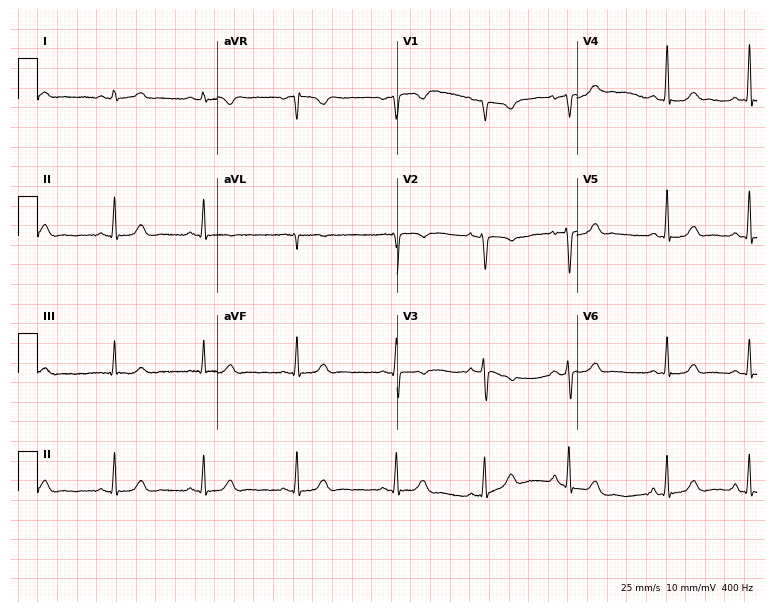
ECG — a 22-year-old woman. Labelled as a normal ECG.